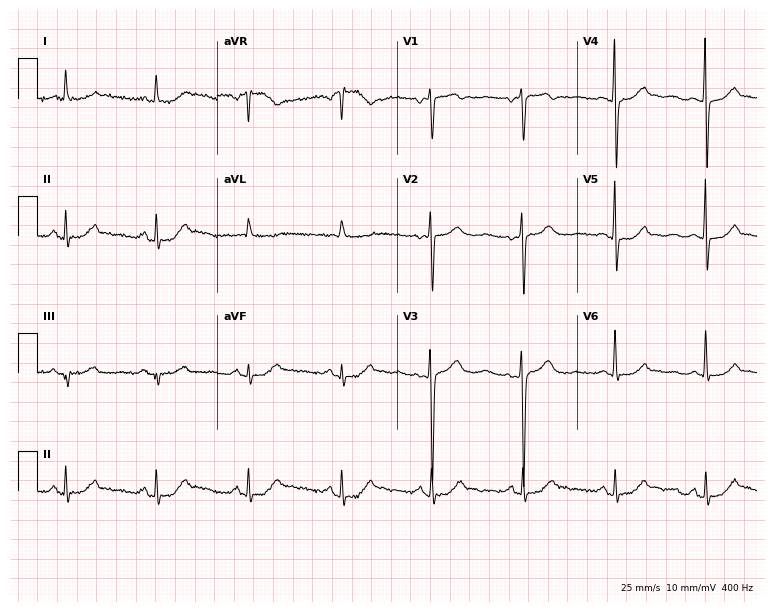
Resting 12-lead electrocardiogram (7.3-second recording at 400 Hz). Patient: a 61-year-old woman. Read as a normal ECG.